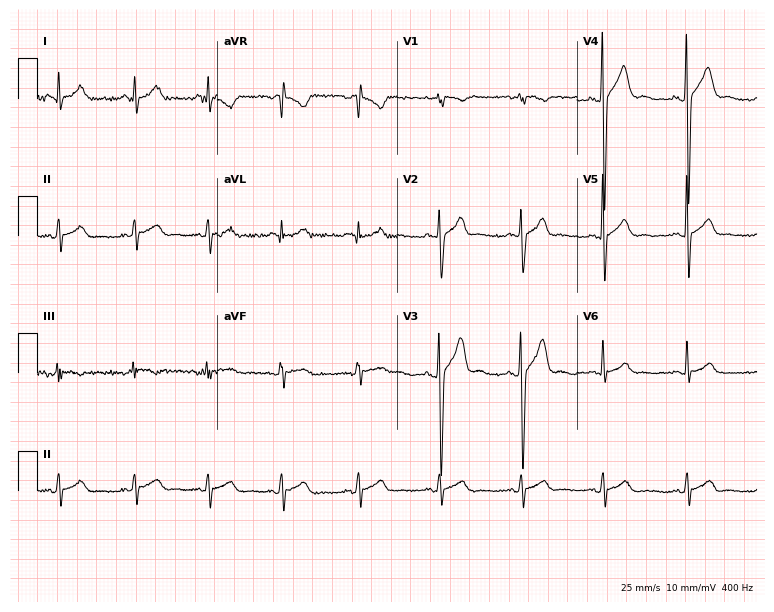
ECG — a male patient, 31 years old. Labelled as a normal ECG.